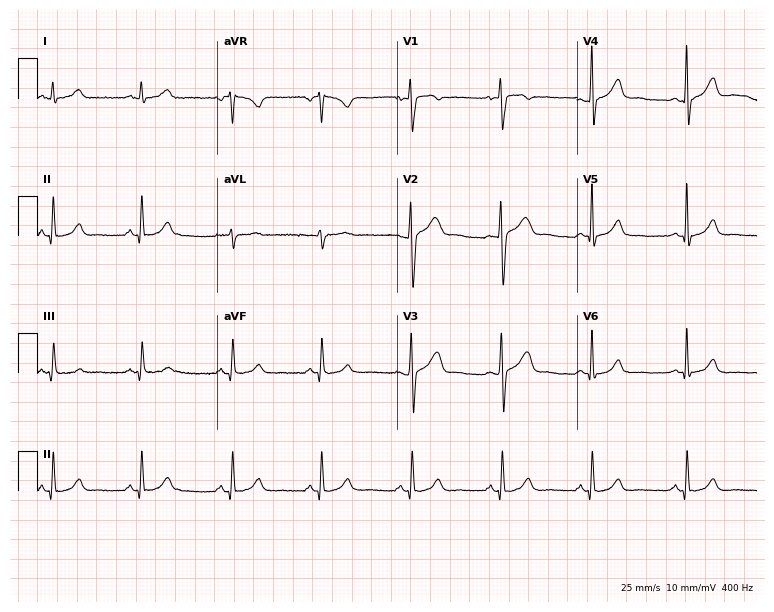
12-lead ECG from a male, 40 years old. Recorded interpretation: within normal limits.